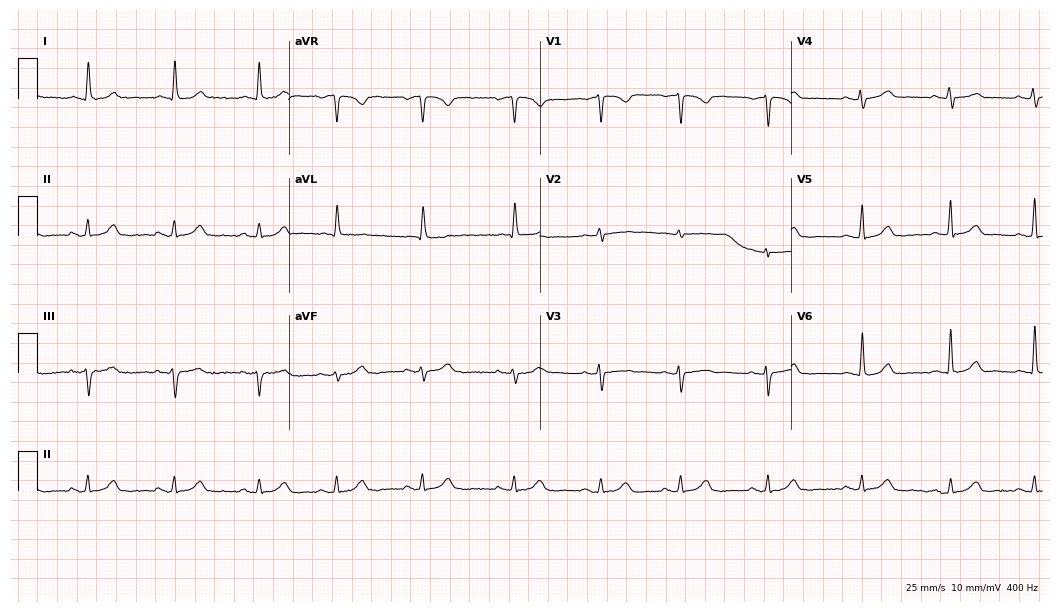
ECG — a female, 62 years old. Screened for six findings — first-degree AV block, right bundle branch block, left bundle branch block, sinus bradycardia, atrial fibrillation, sinus tachycardia — none is recorded.